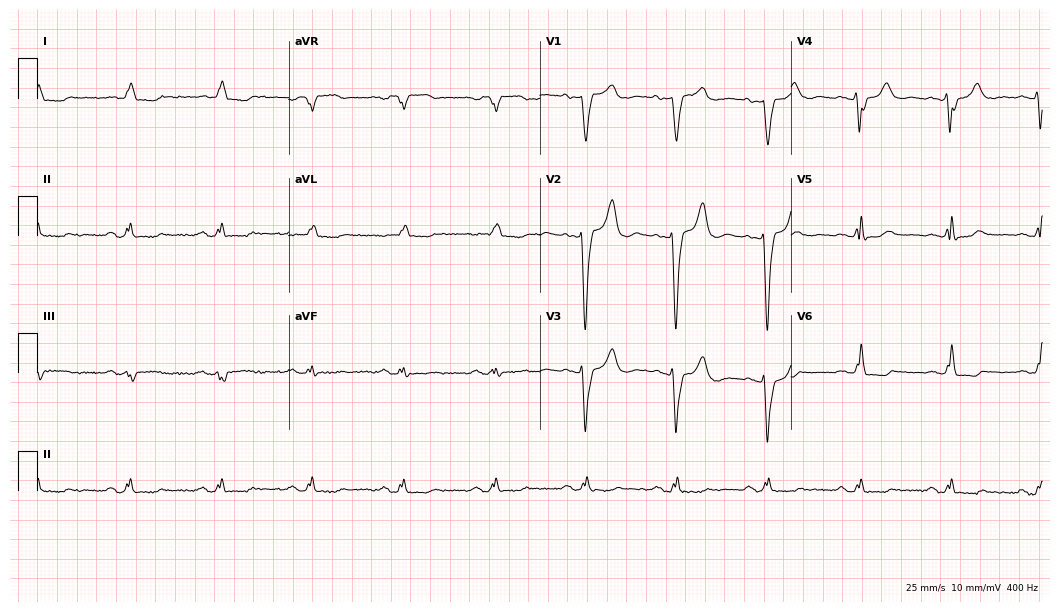
Resting 12-lead electrocardiogram (10.2-second recording at 400 Hz). Patient: a 75-year-old female. The tracing shows left bundle branch block.